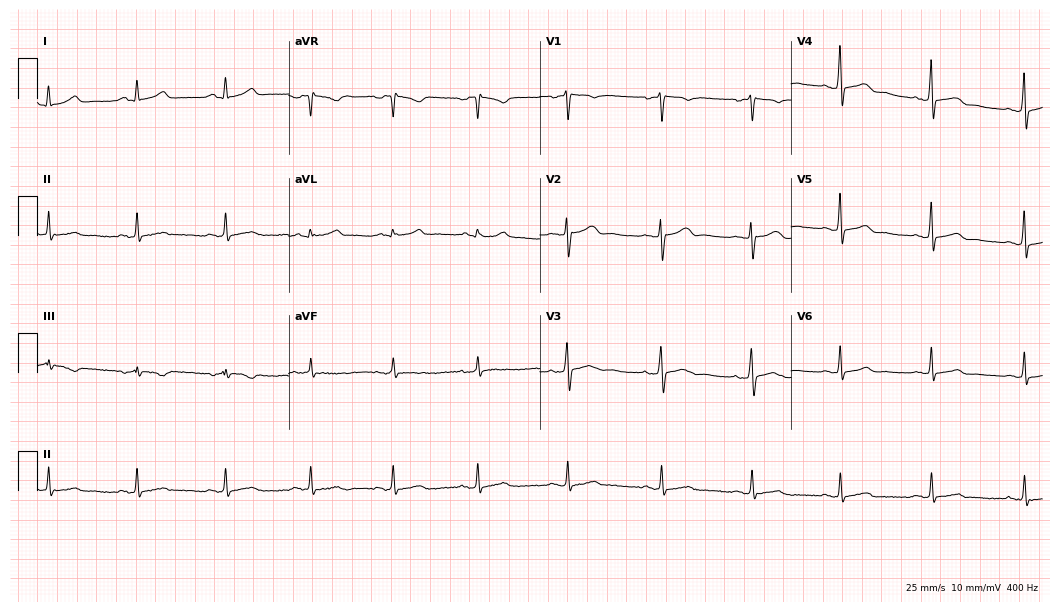
Standard 12-lead ECG recorded from a 30-year-old male patient (10.2-second recording at 400 Hz). None of these six findings is recorded: first-degree AV block, right bundle branch block, left bundle branch block, sinus bradycardia, atrial fibrillation, sinus tachycardia. Only these six findings were labelled.